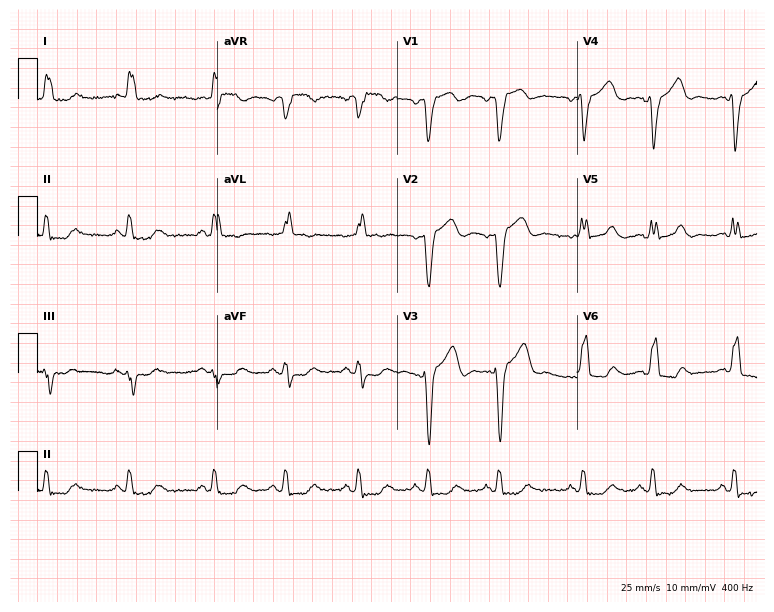
Resting 12-lead electrocardiogram (7.3-second recording at 400 Hz). Patient: a 55-year-old female. The tracing shows left bundle branch block.